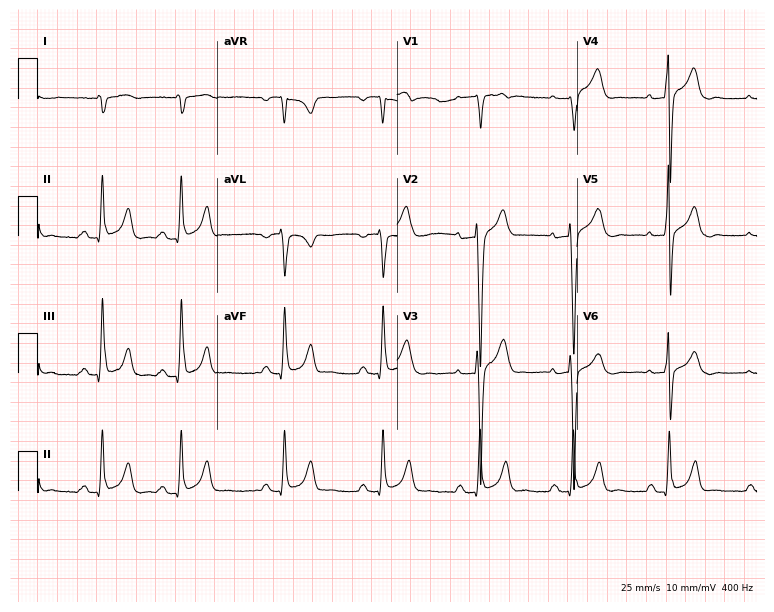
ECG (7.3-second recording at 400 Hz) — a man, 33 years old. Screened for six findings — first-degree AV block, right bundle branch block, left bundle branch block, sinus bradycardia, atrial fibrillation, sinus tachycardia — none is recorded.